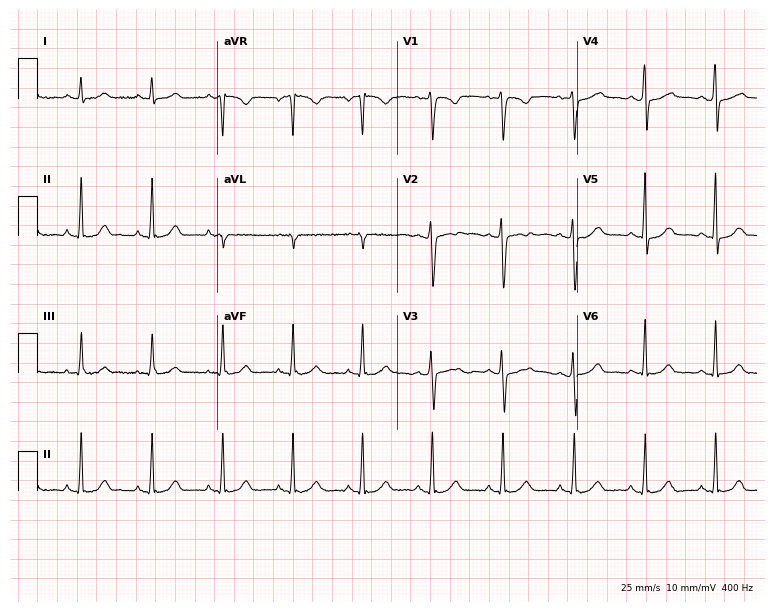
Standard 12-lead ECG recorded from a female patient, 42 years old. None of these six findings is recorded: first-degree AV block, right bundle branch block, left bundle branch block, sinus bradycardia, atrial fibrillation, sinus tachycardia.